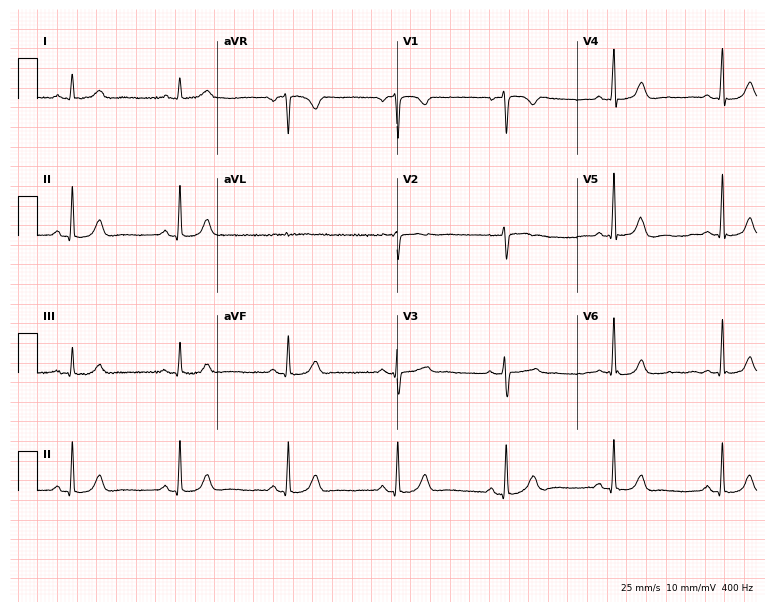
Electrocardiogram (7.3-second recording at 400 Hz), a 62-year-old female patient. Overall reading on record: normal ECG.